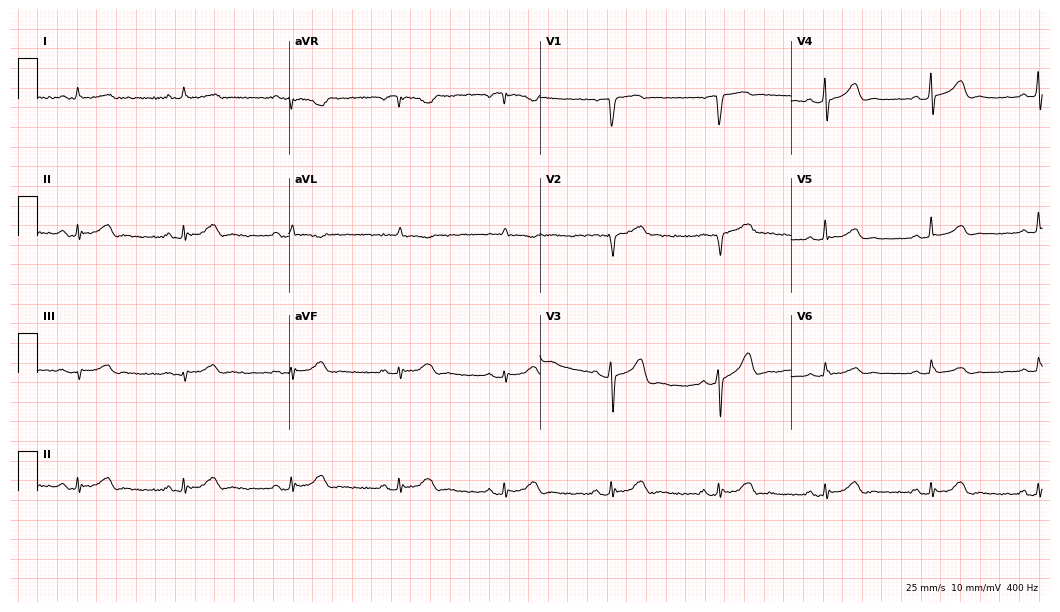
12-lead ECG from a 58-year-old man. Recorded interpretation: within normal limits.